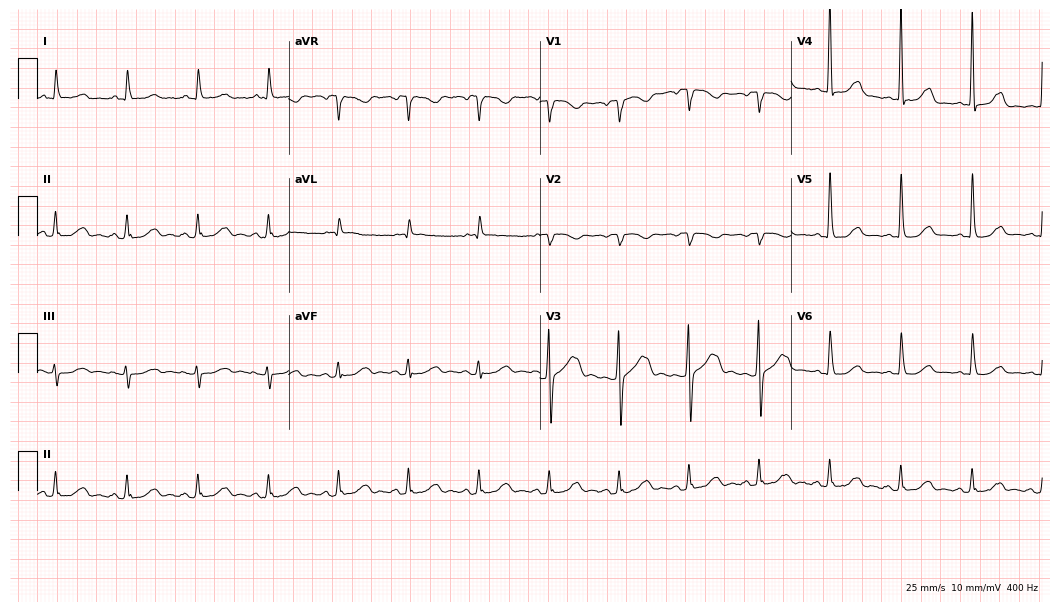
12-lead ECG from a woman, 69 years old. Recorded interpretation: within normal limits.